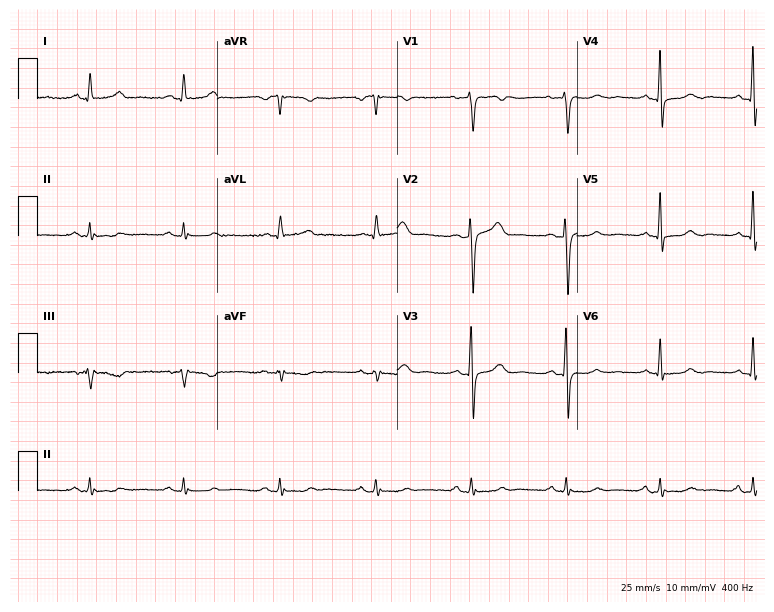
12-lead ECG from a female, 59 years old. No first-degree AV block, right bundle branch block, left bundle branch block, sinus bradycardia, atrial fibrillation or sinus tachycardia recorded for this tracing. Other findings, if any, are not listed.